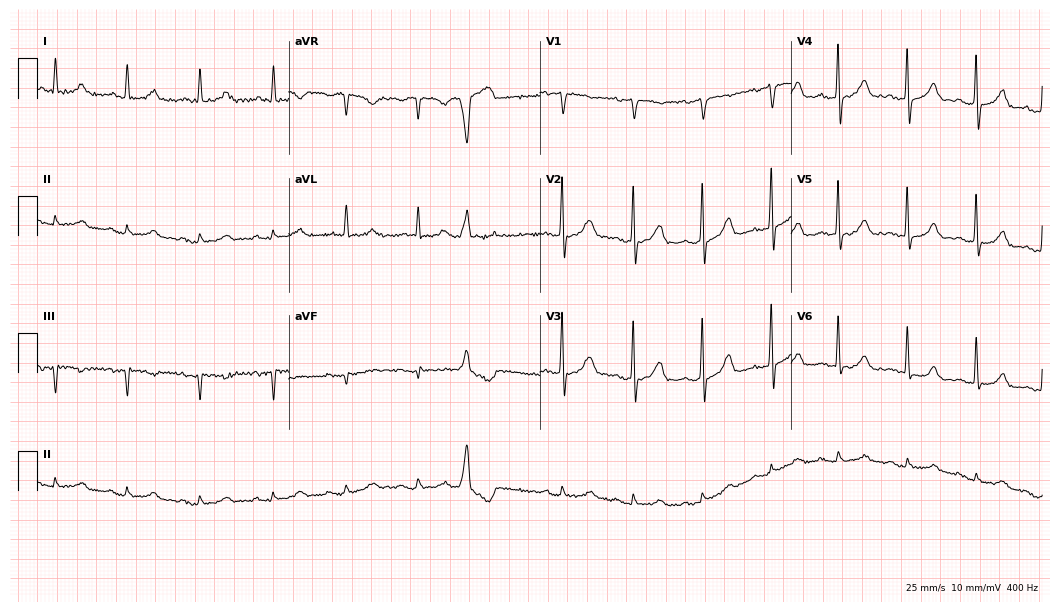
12-lead ECG from an 80-year-old male patient. Screened for six findings — first-degree AV block, right bundle branch block, left bundle branch block, sinus bradycardia, atrial fibrillation, sinus tachycardia — none is recorded. Other findings, if any, are not listed.